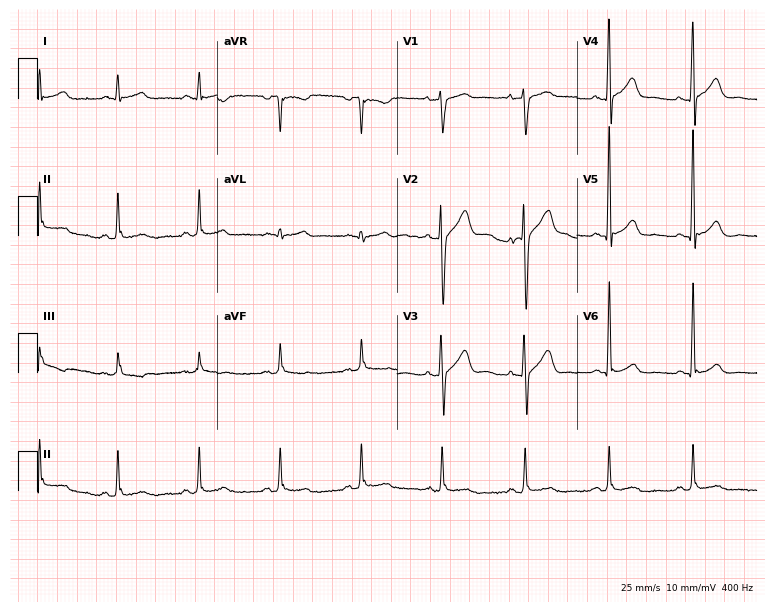
Standard 12-lead ECG recorded from a 56-year-old male patient. Read as a normal ECG.